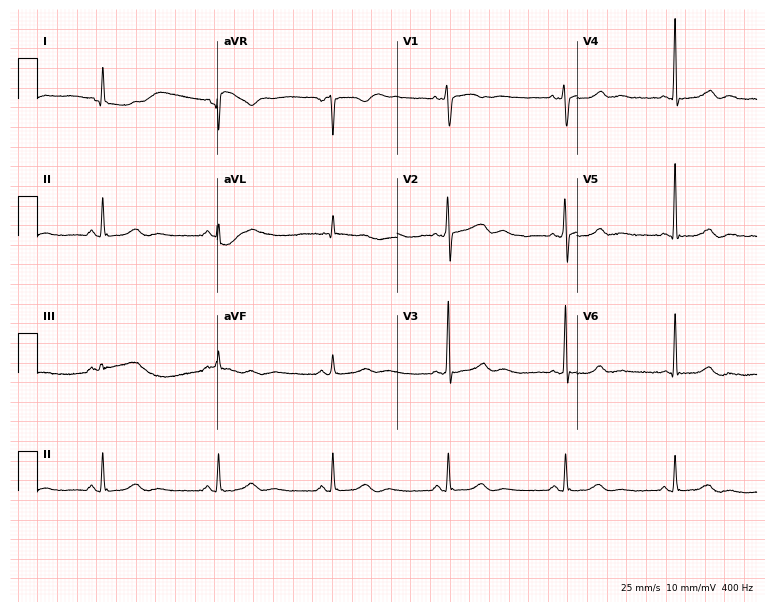
Resting 12-lead electrocardiogram. Patient: a female, 60 years old. None of these six findings is recorded: first-degree AV block, right bundle branch block, left bundle branch block, sinus bradycardia, atrial fibrillation, sinus tachycardia.